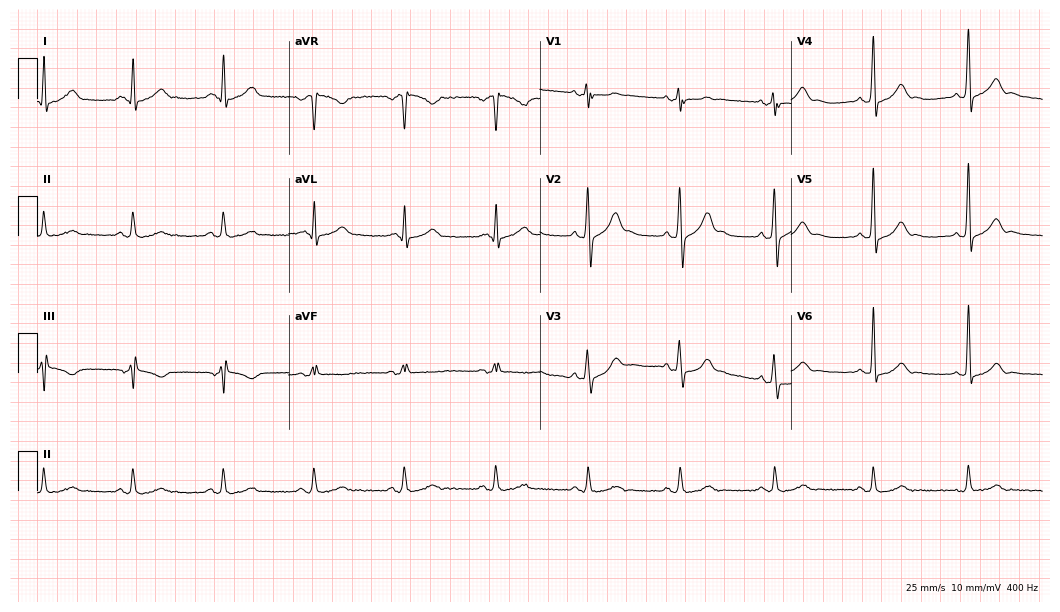
ECG — a male, 45 years old. Labelled as a normal ECG.